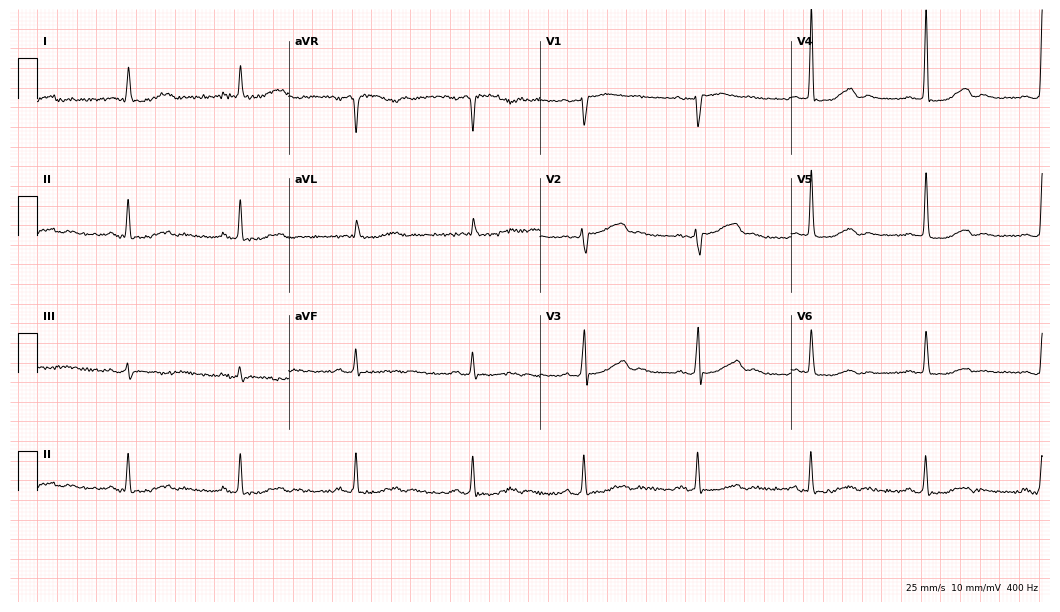
Electrocardiogram, a female, 71 years old. Of the six screened findings (first-degree AV block, right bundle branch block, left bundle branch block, sinus bradycardia, atrial fibrillation, sinus tachycardia), none is recorded. Findings outside these six are not listed.